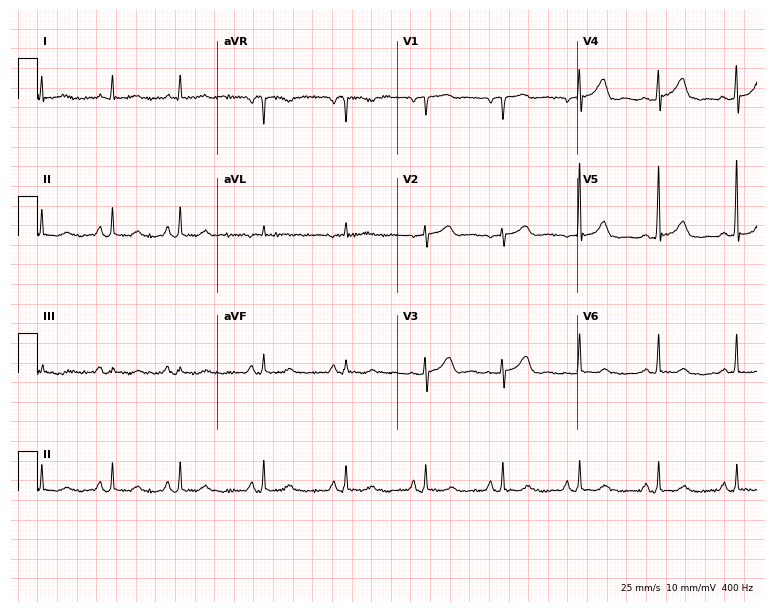
12-lead ECG from a 78-year-old woman. Labelled as a normal ECG.